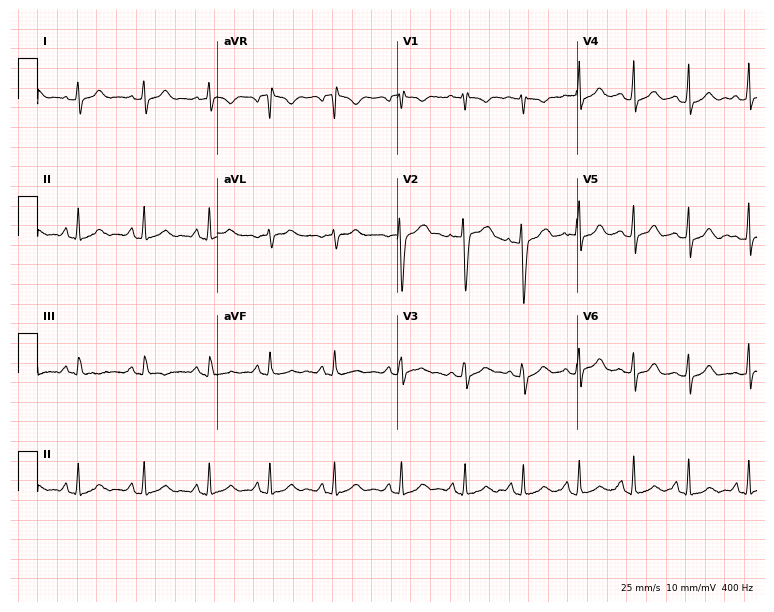
Electrocardiogram (7.3-second recording at 400 Hz), a female patient, 20 years old. Overall reading on record: normal ECG.